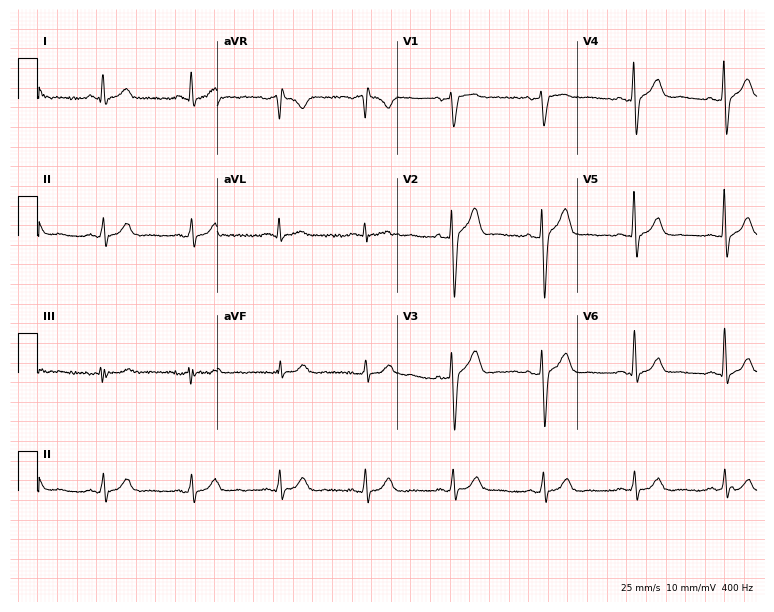
12-lead ECG from a male patient, 71 years old. Recorded interpretation: within normal limits.